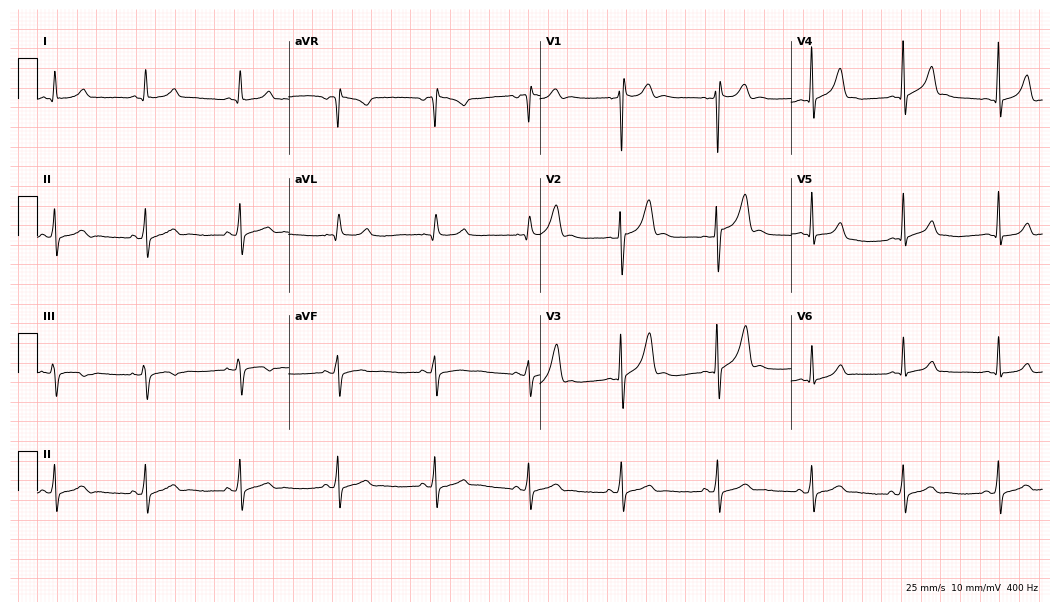
Electrocardiogram, a male patient, 21 years old. Of the six screened findings (first-degree AV block, right bundle branch block, left bundle branch block, sinus bradycardia, atrial fibrillation, sinus tachycardia), none is recorded. Findings outside these six are not listed.